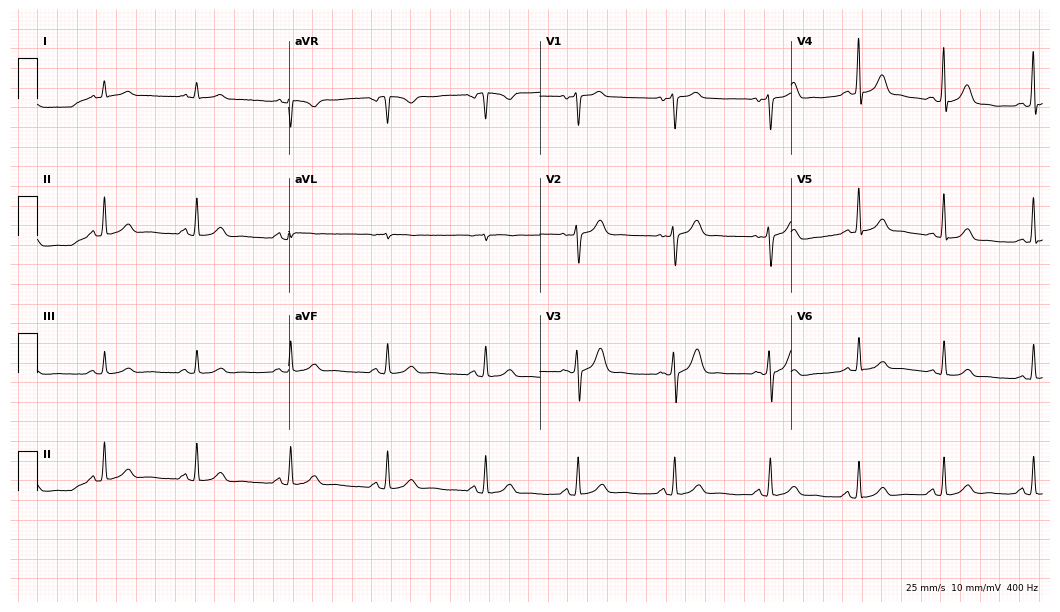
12-lead ECG from a female, 34 years old. Labelled as a normal ECG.